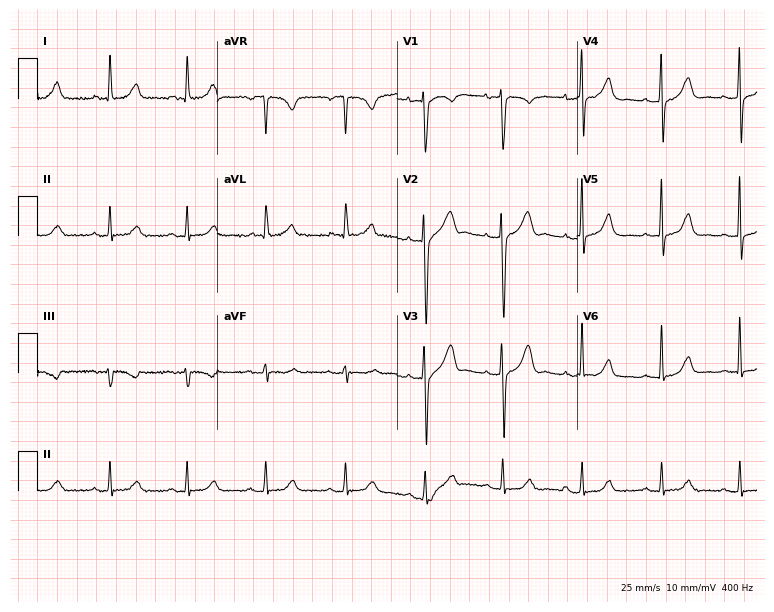
12-lead ECG (7.3-second recording at 400 Hz) from a 57-year-old female patient. Screened for six findings — first-degree AV block, right bundle branch block, left bundle branch block, sinus bradycardia, atrial fibrillation, sinus tachycardia — none is recorded.